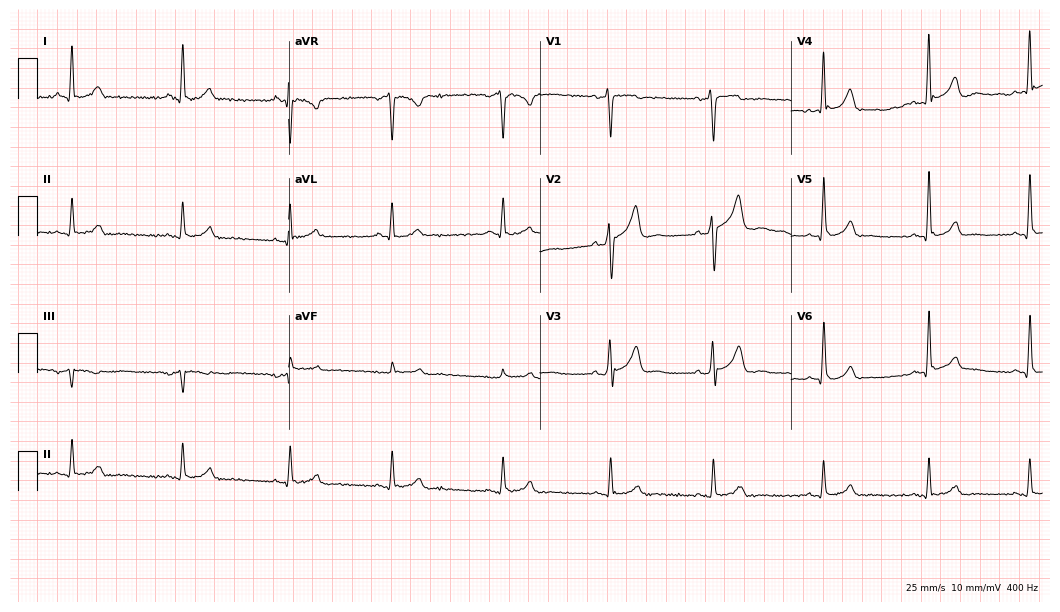
Standard 12-lead ECG recorded from a male, 40 years old (10.2-second recording at 400 Hz). None of these six findings is recorded: first-degree AV block, right bundle branch block, left bundle branch block, sinus bradycardia, atrial fibrillation, sinus tachycardia. Other findings, if any, are not listed.